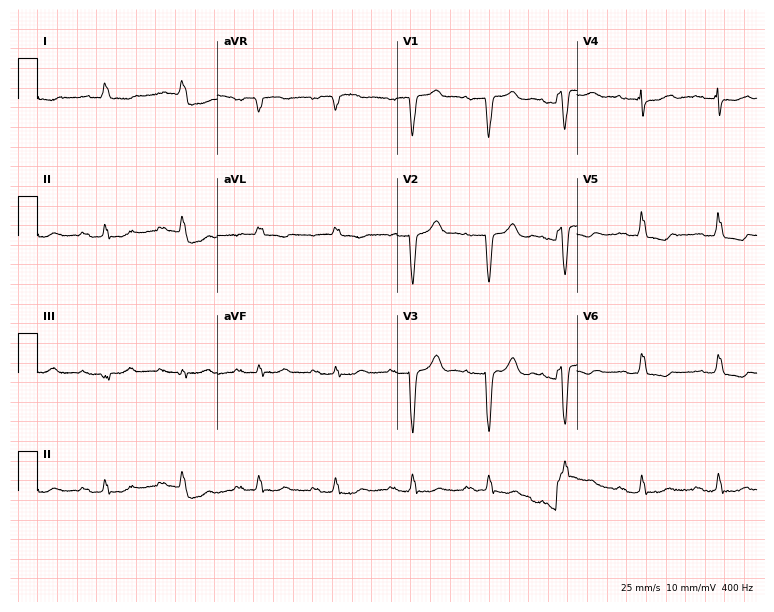
12-lead ECG from an 85-year-old woman. Screened for six findings — first-degree AV block, right bundle branch block, left bundle branch block, sinus bradycardia, atrial fibrillation, sinus tachycardia — none is recorded.